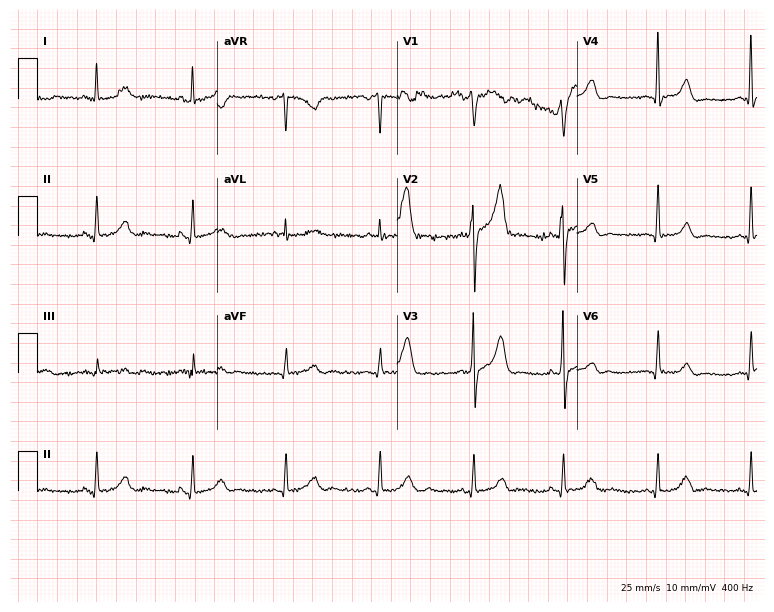
12-lead ECG from a male patient, 50 years old. Labelled as a normal ECG.